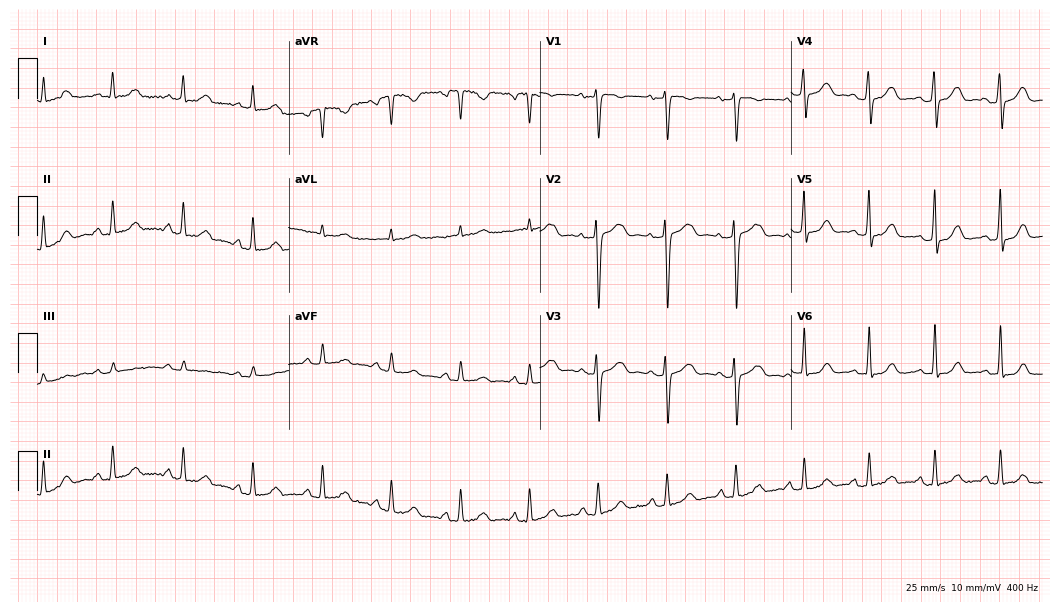
12-lead ECG (10.2-second recording at 400 Hz) from a 46-year-old woman. Labelled as a normal ECG.